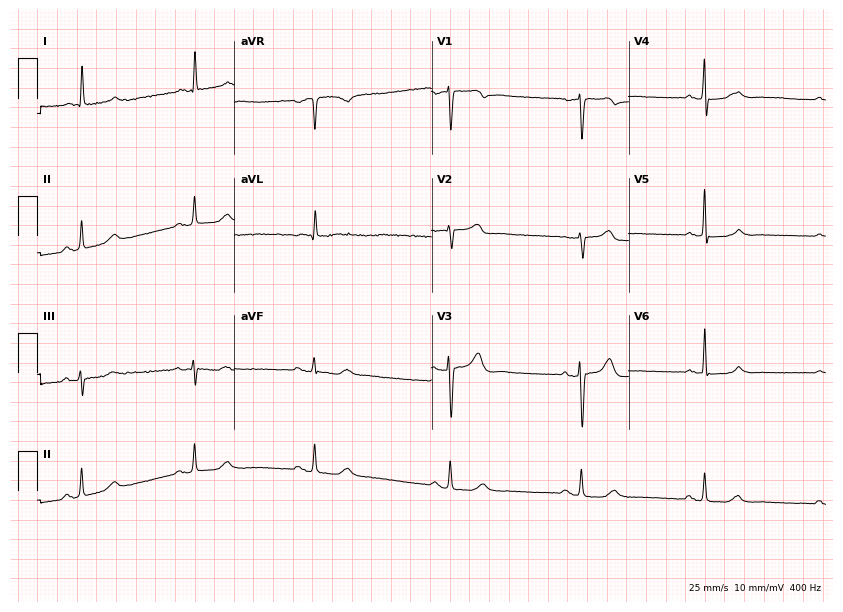
Standard 12-lead ECG recorded from a 71-year-old woman. The tracing shows sinus bradycardia (a sinus rate of 50 beats per minute or less).